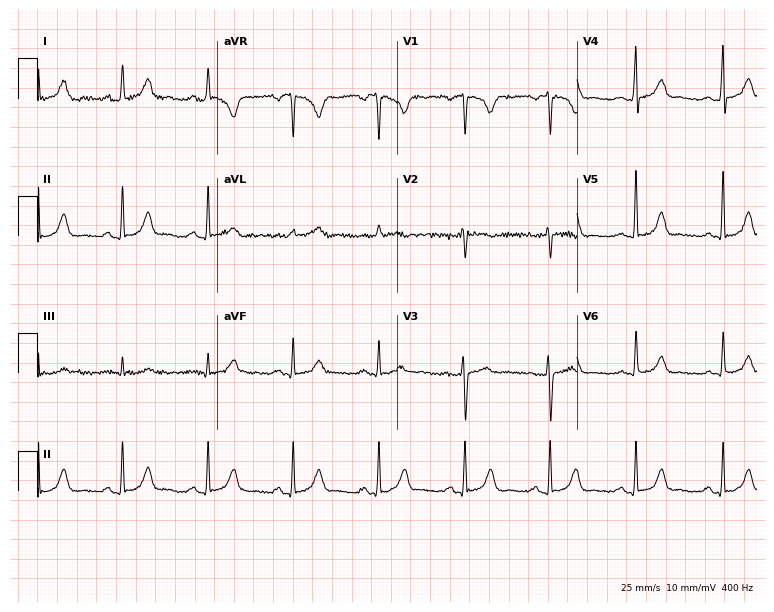
Electrocardiogram (7.3-second recording at 400 Hz), a 32-year-old woman. Overall reading on record: normal ECG.